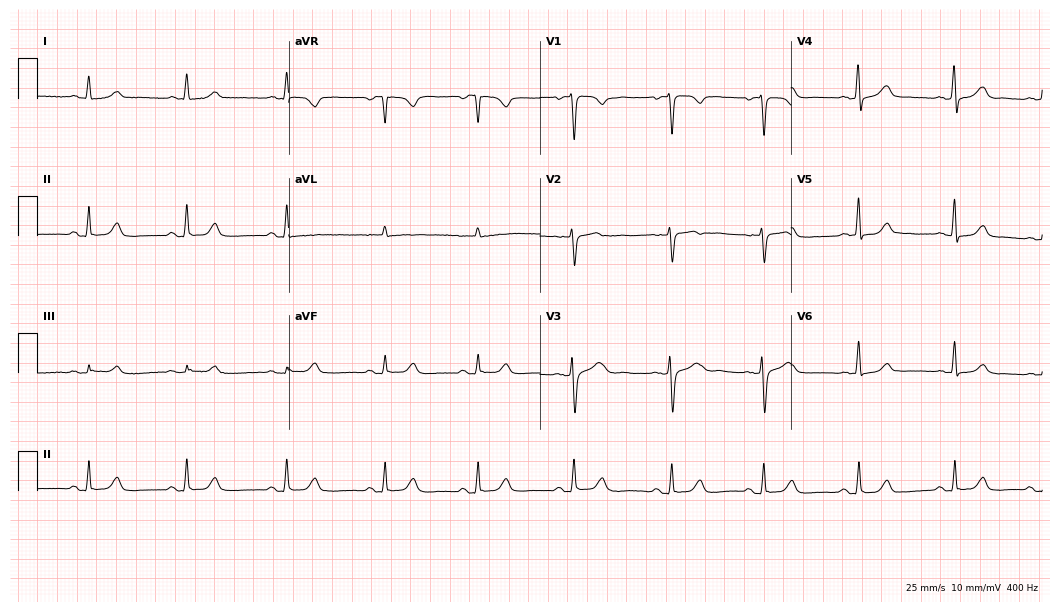
12-lead ECG from a 52-year-old female. Recorded interpretation: within normal limits.